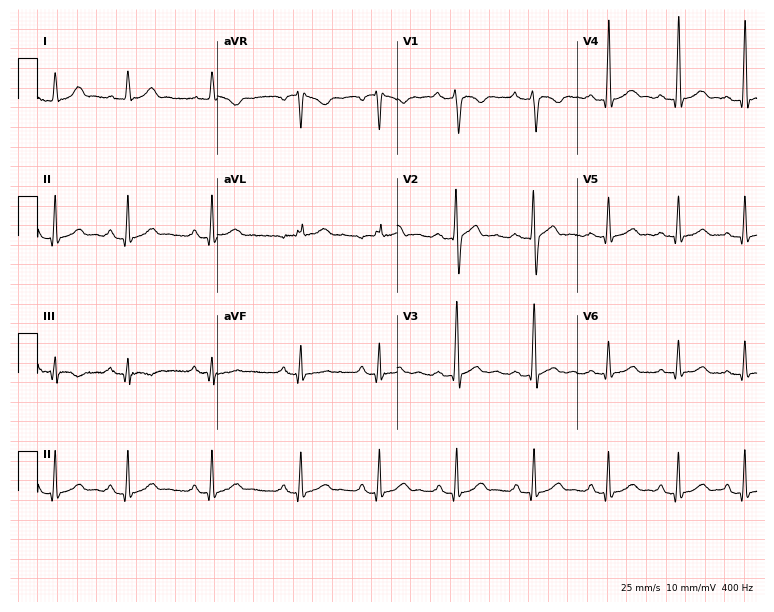
Resting 12-lead electrocardiogram (7.3-second recording at 400 Hz). Patient: a 22-year-old male. Read as a normal ECG.